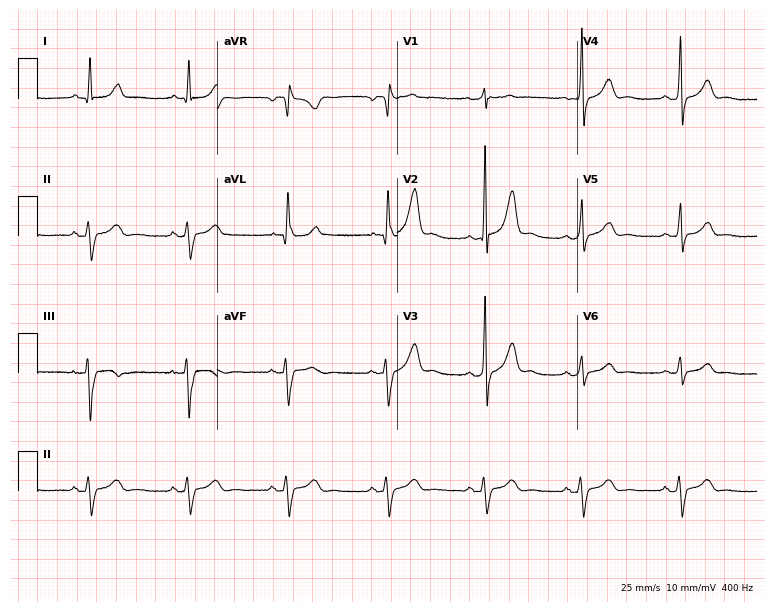
Standard 12-lead ECG recorded from a male patient, 57 years old. None of these six findings is recorded: first-degree AV block, right bundle branch block (RBBB), left bundle branch block (LBBB), sinus bradycardia, atrial fibrillation (AF), sinus tachycardia. Other findings, if any, are not listed.